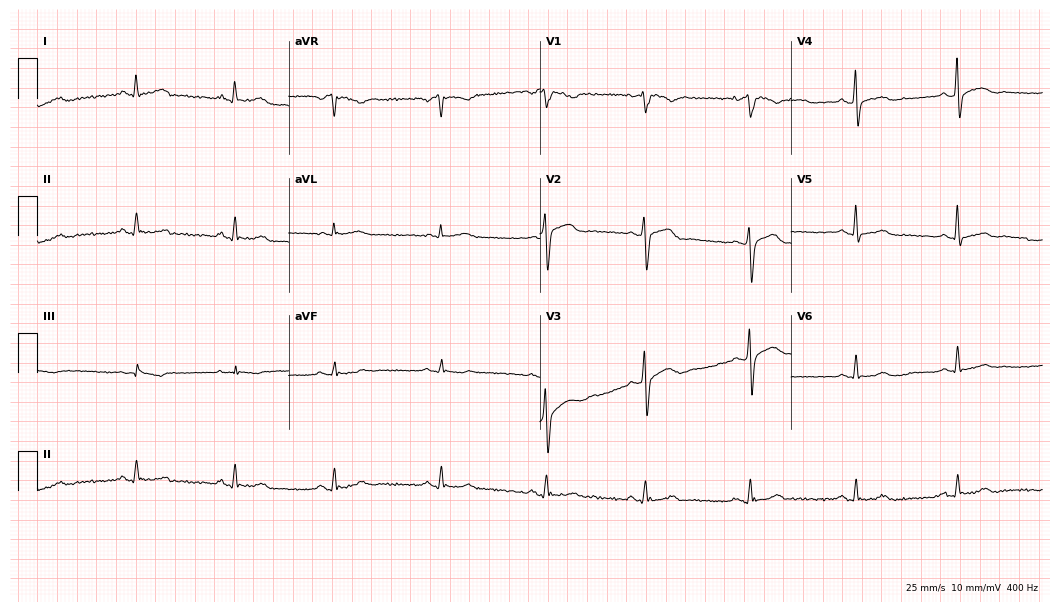
Standard 12-lead ECG recorded from a 59-year-old male. None of these six findings is recorded: first-degree AV block, right bundle branch block (RBBB), left bundle branch block (LBBB), sinus bradycardia, atrial fibrillation (AF), sinus tachycardia. Only these six findings were labelled.